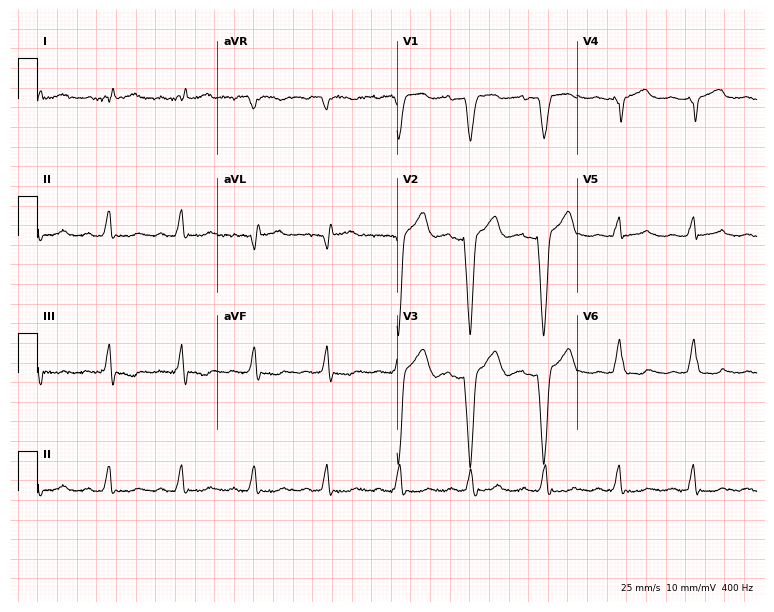
Electrocardiogram (7.3-second recording at 400 Hz), a 49-year-old female patient. Interpretation includes left bundle branch block (LBBB).